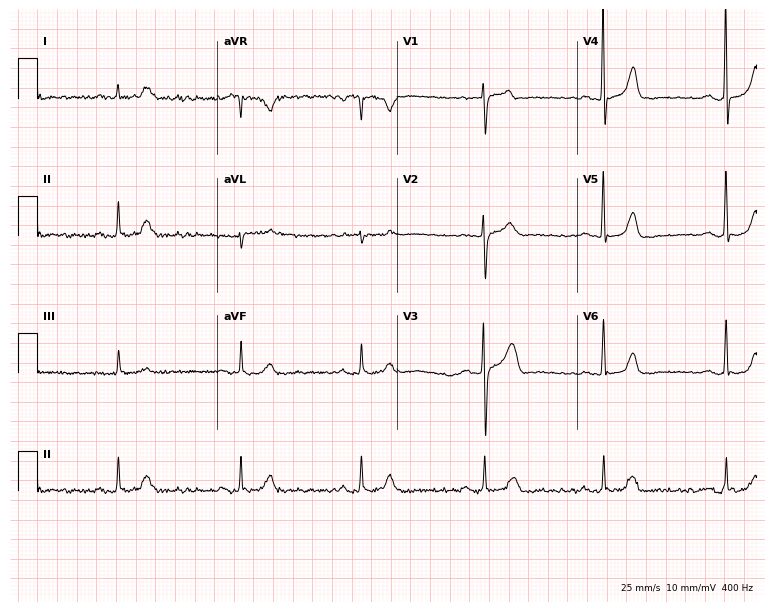
12-lead ECG (7.3-second recording at 400 Hz) from a female patient, 71 years old. Findings include sinus bradycardia (a sinus rate of 50 beats per minute or less).